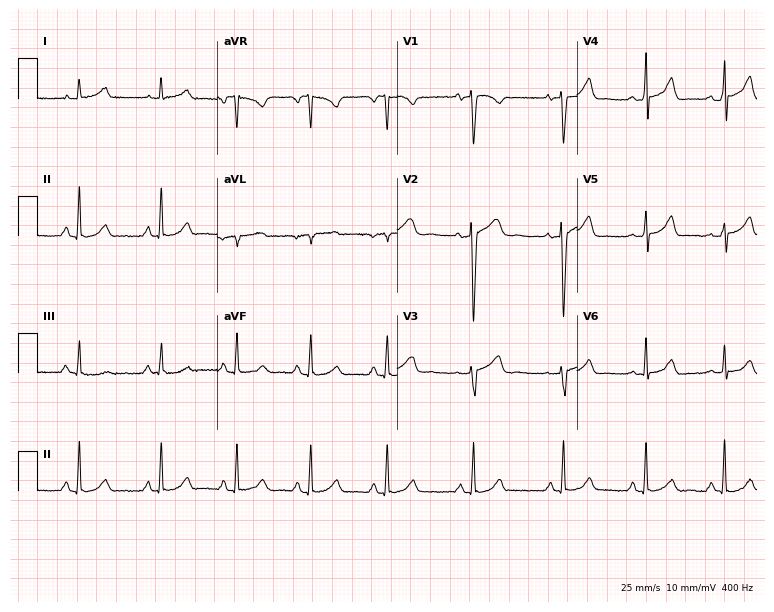
Standard 12-lead ECG recorded from a female, 43 years old. Read as a normal ECG.